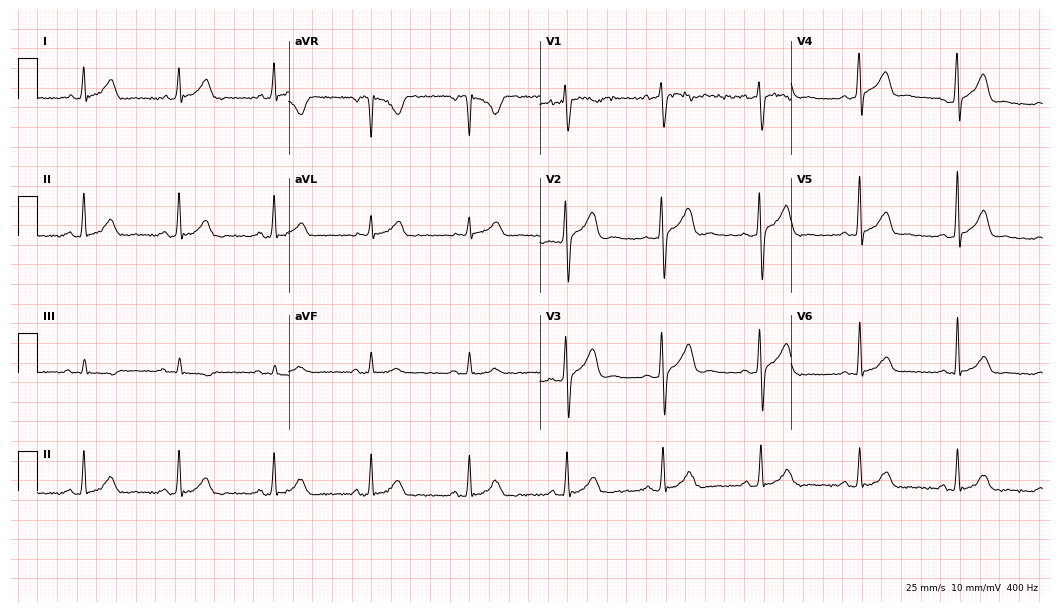
Resting 12-lead electrocardiogram. Patient: a 39-year-old man. None of these six findings is recorded: first-degree AV block, right bundle branch block, left bundle branch block, sinus bradycardia, atrial fibrillation, sinus tachycardia.